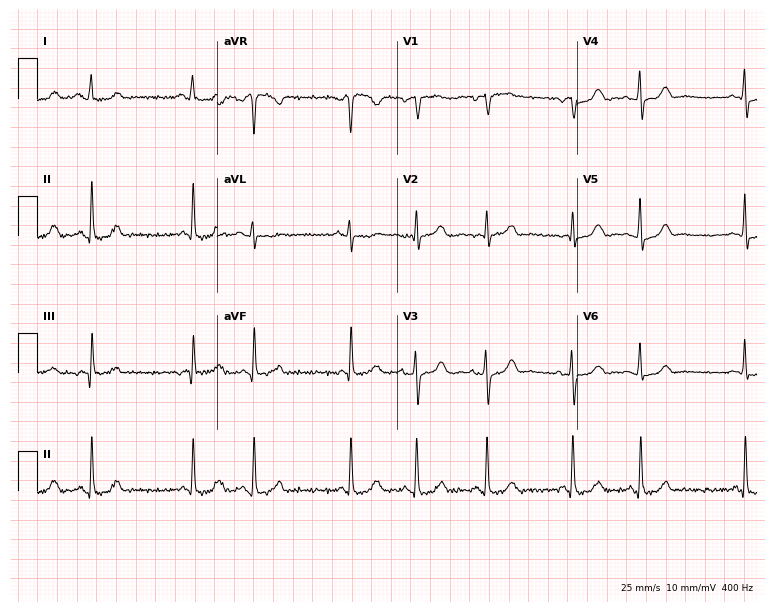
12-lead ECG from a 76-year-old female patient (7.3-second recording at 400 Hz). Recorded interpretation: within normal limits.